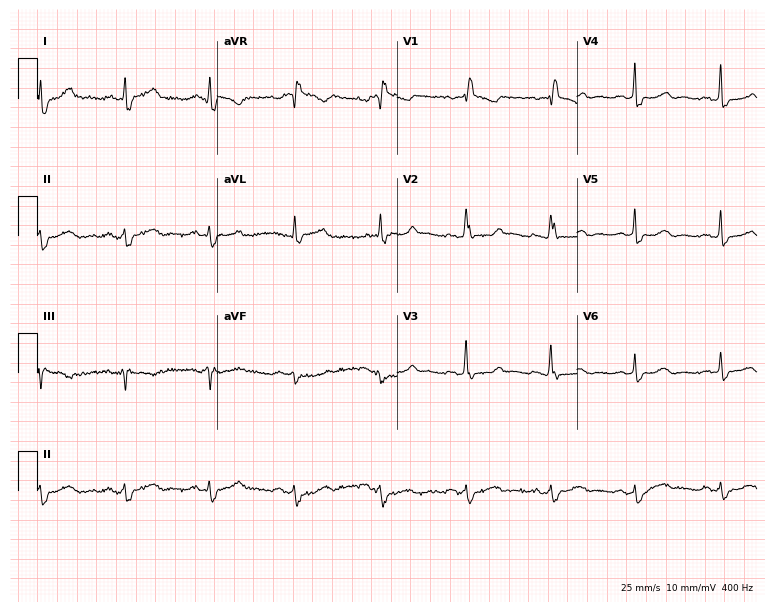
Electrocardiogram, a 52-year-old female patient. Interpretation includes right bundle branch block (RBBB).